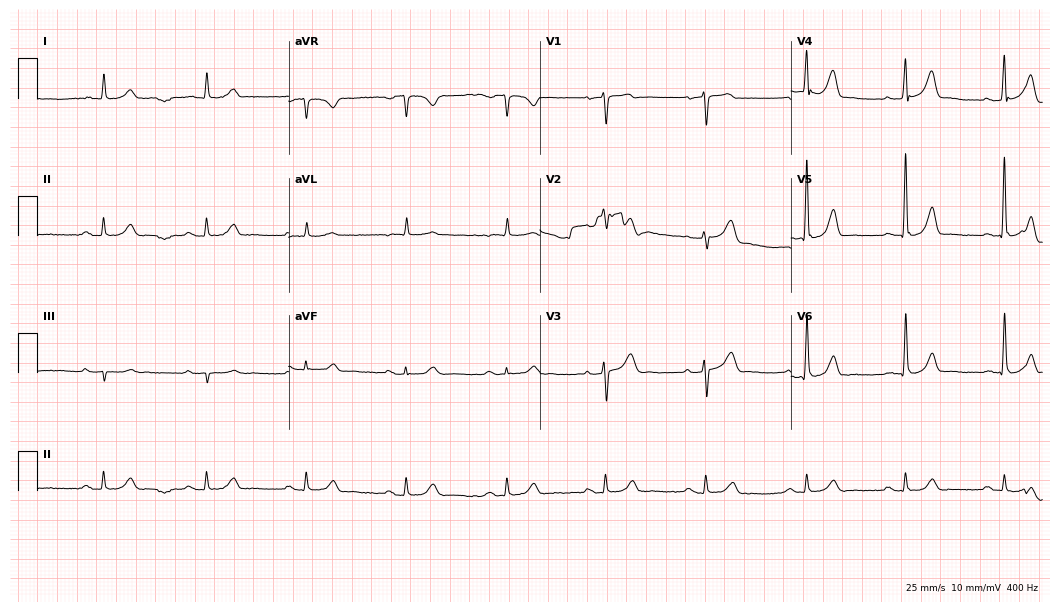
Electrocardiogram, a 72-year-old man. Of the six screened findings (first-degree AV block, right bundle branch block, left bundle branch block, sinus bradycardia, atrial fibrillation, sinus tachycardia), none is recorded.